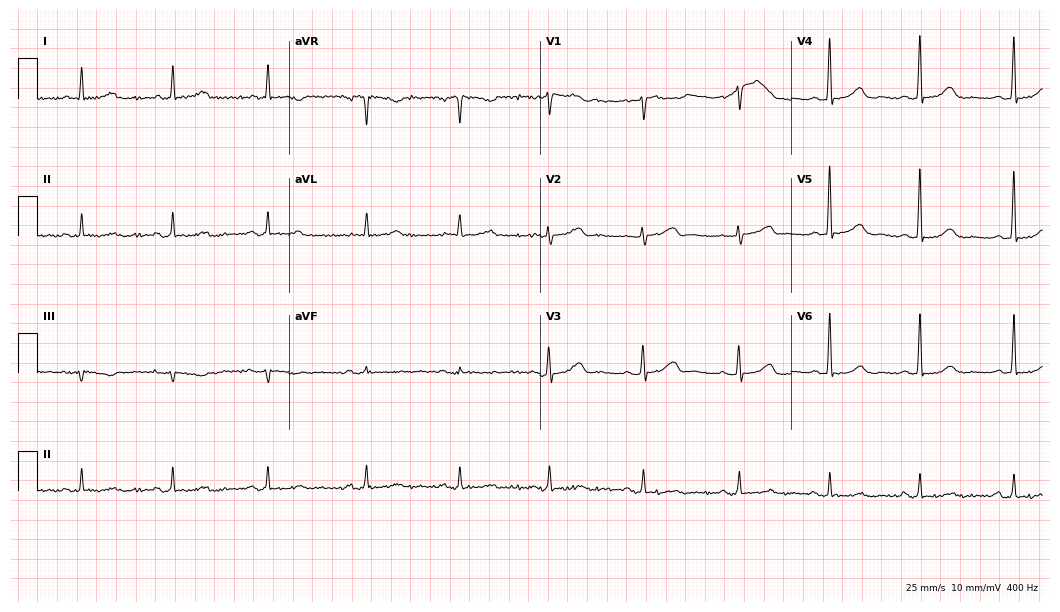
ECG (10.2-second recording at 400 Hz) — a 56-year-old female patient. Screened for six findings — first-degree AV block, right bundle branch block, left bundle branch block, sinus bradycardia, atrial fibrillation, sinus tachycardia — none is recorded. Other findings, if any, are not listed.